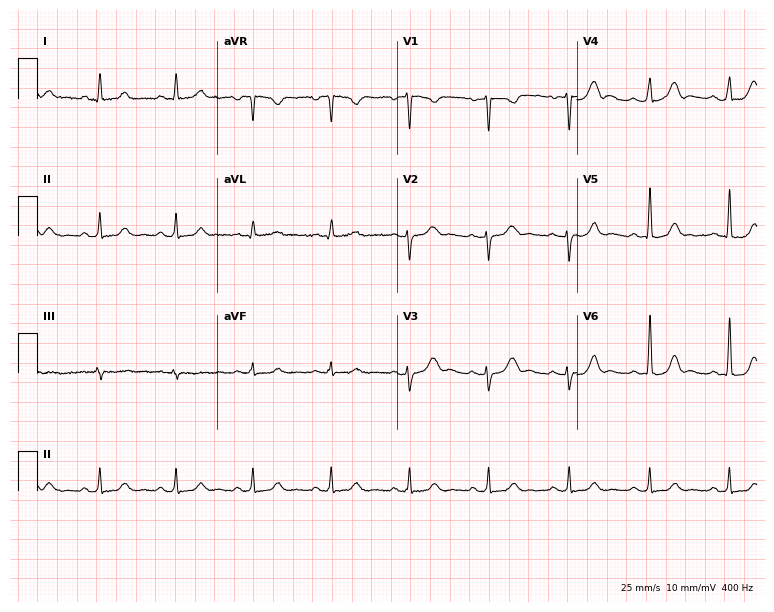
Electrocardiogram (7.3-second recording at 400 Hz), a 44-year-old woman. Overall reading on record: normal ECG.